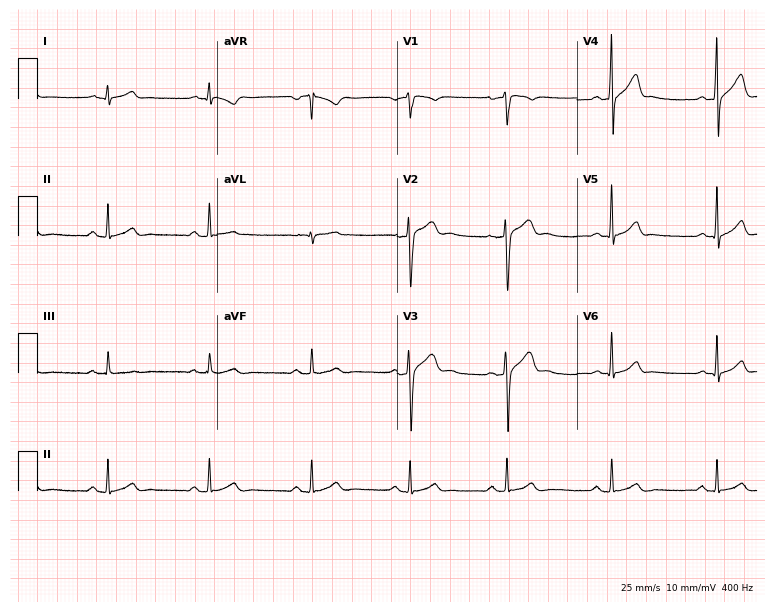
Standard 12-lead ECG recorded from a man, 27 years old (7.3-second recording at 400 Hz). None of these six findings is recorded: first-degree AV block, right bundle branch block, left bundle branch block, sinus bradycardia, atrial fibrillation, sinus tachycardia. Findings outside these six are not listed.